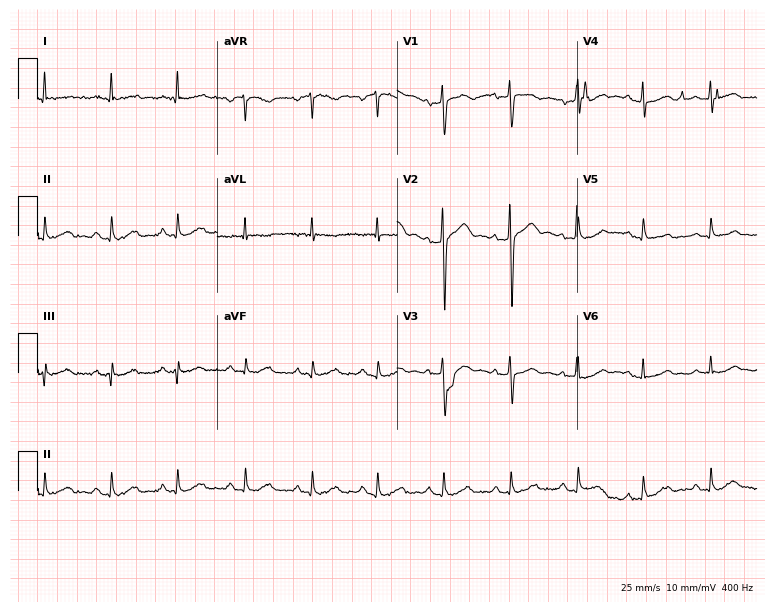
Standard 12-lead ECG recorded from a 63-year-old female patient. Read as a normal ECG.